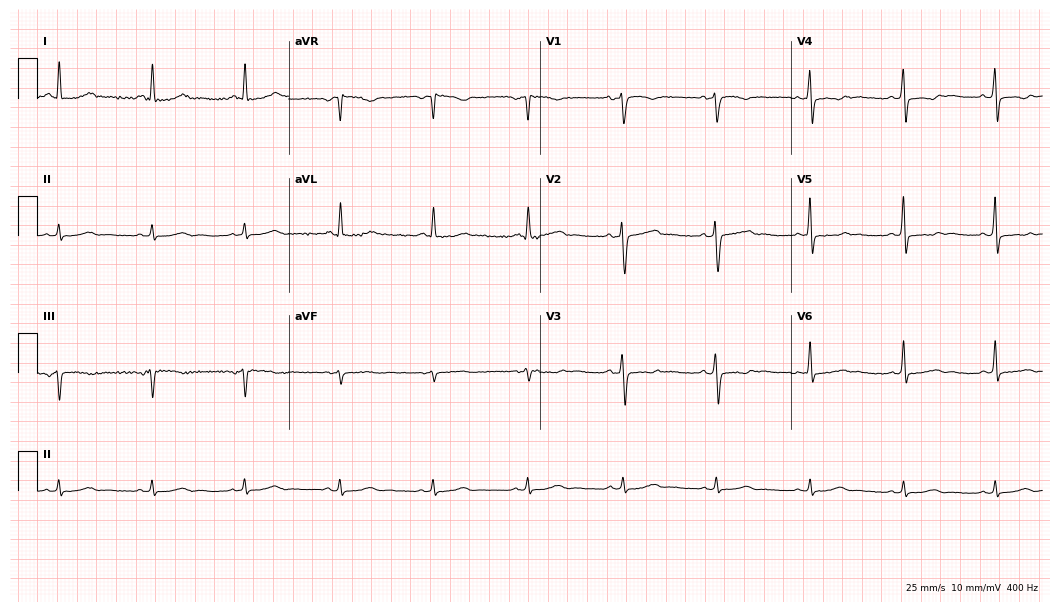
Electrocardiogram (10.2-second recording at 400 Hz), a male, 58 years old. Of the six screened findings (first-degree AV block, right bundle branch block (RBBB), left bundle branch block (LBBB), sinus bradycardia, atrial fibrillation (AF), sinus tachycardia), none is recorded. Findings outside these six are not listed.